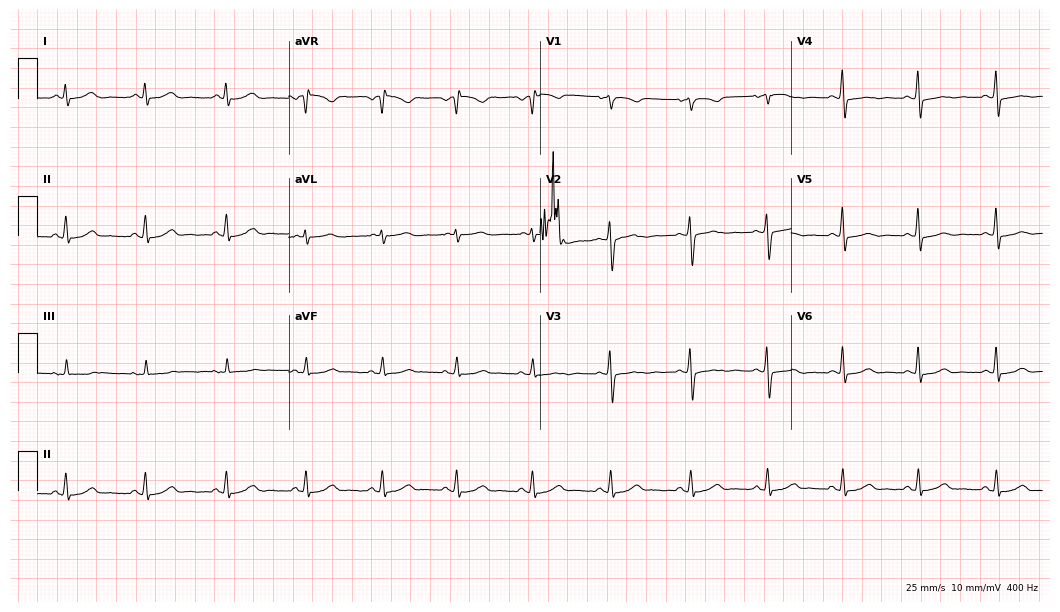
Electrocardiogram, a female, 43 years old. Of the six screened findings (first-degree AV block, right bundle branch block, left bundle branch block, sinus bradycardia, atrial fibrillation, sinus tachycardia), none is recorded.